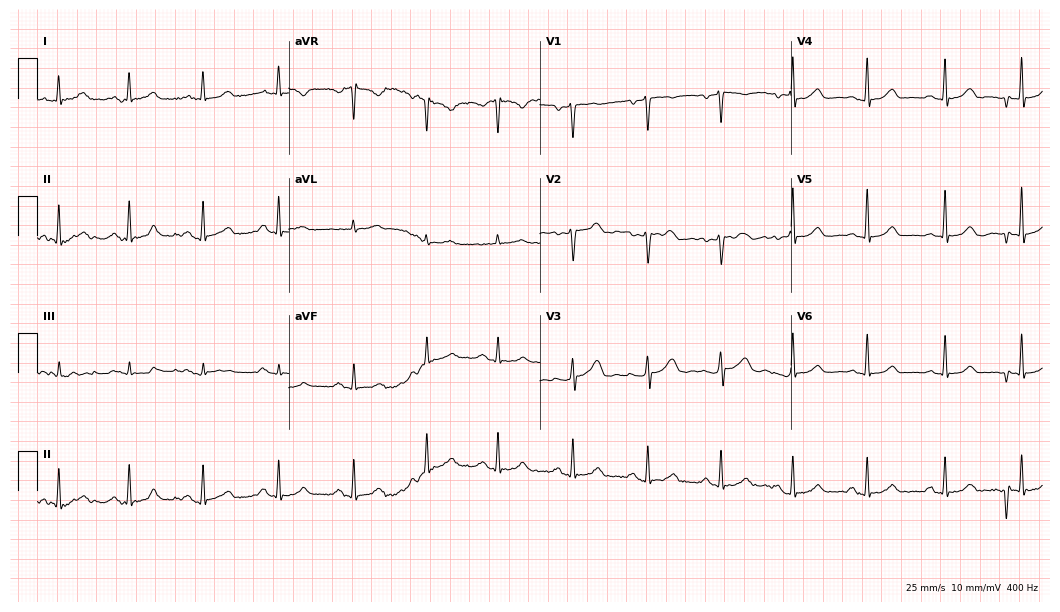
Resting 12-lead electrocardiogram (10.2-second recording at 400 Hz). Patient: a female, 51 years old. Read as a normal ECG.